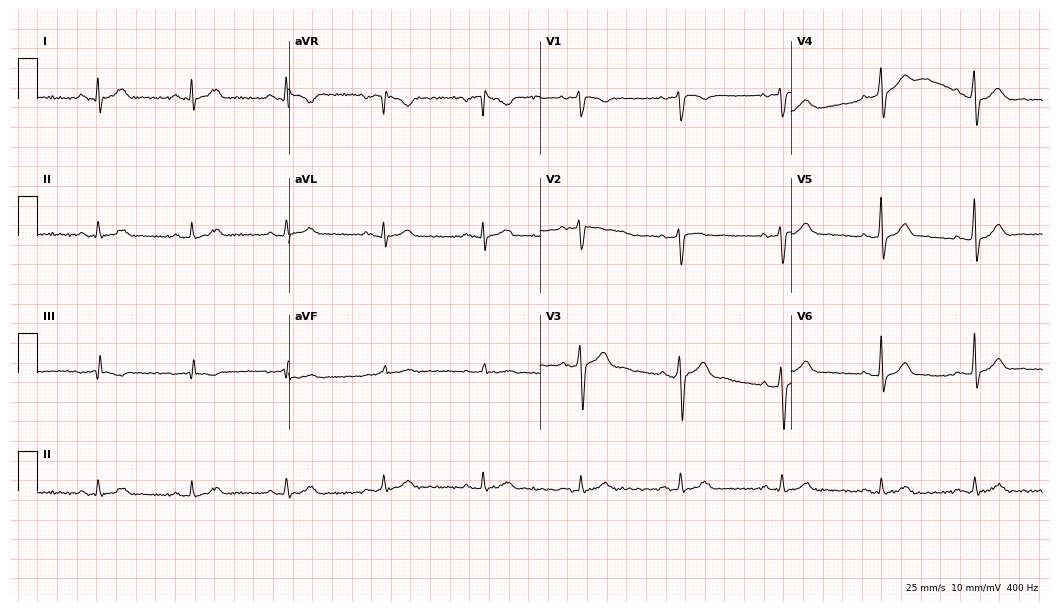
Resting 12-lead electrocardiogram. Patient: a 47-year-old man. Read as a normal ECG.